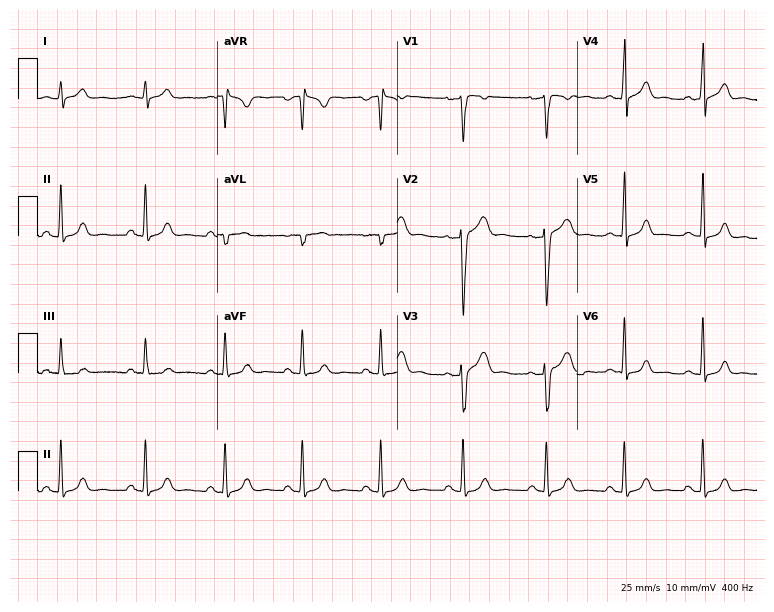
ECG (7.3-second recording at 400 Hz) — a male patient, 33 years old. Labelled as a normal ECG.